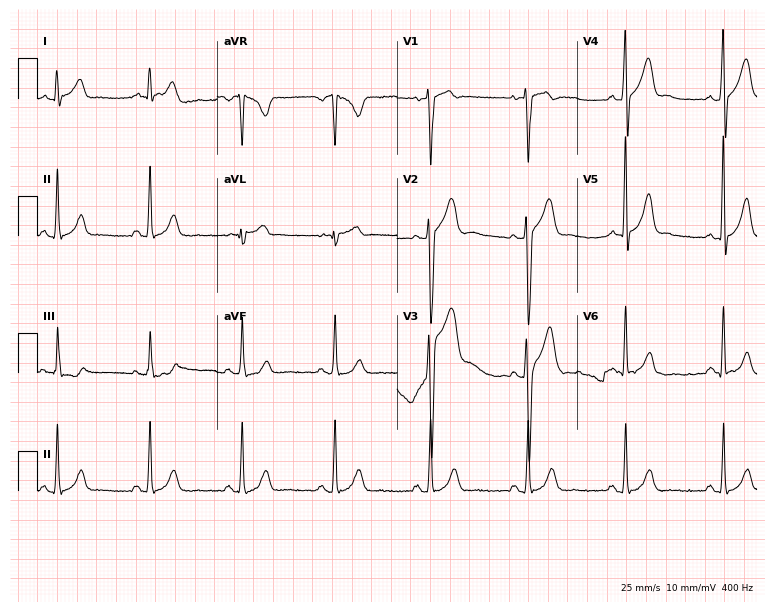
Resting 12-lead electrocardiogram. Patient: a man, 46 years old. Read as a normal ECG.